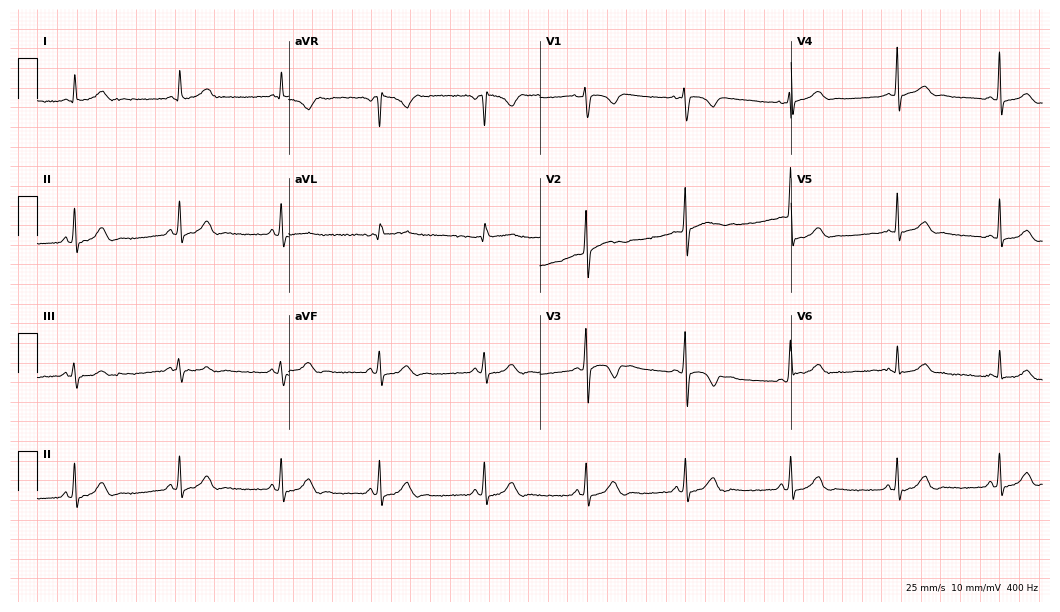
ECG (10.2-second recording at 400 Hz) — a 34-year-old woman. Labelled as a normal ECG.